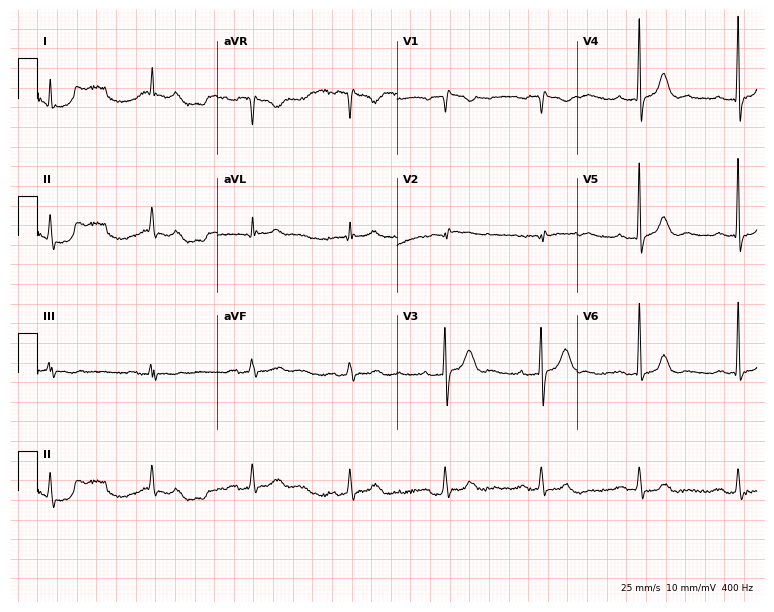
ECG (7.3-second recording at 400 Hz) — a 72-year-old male patient. Labelled as a normal ECG.